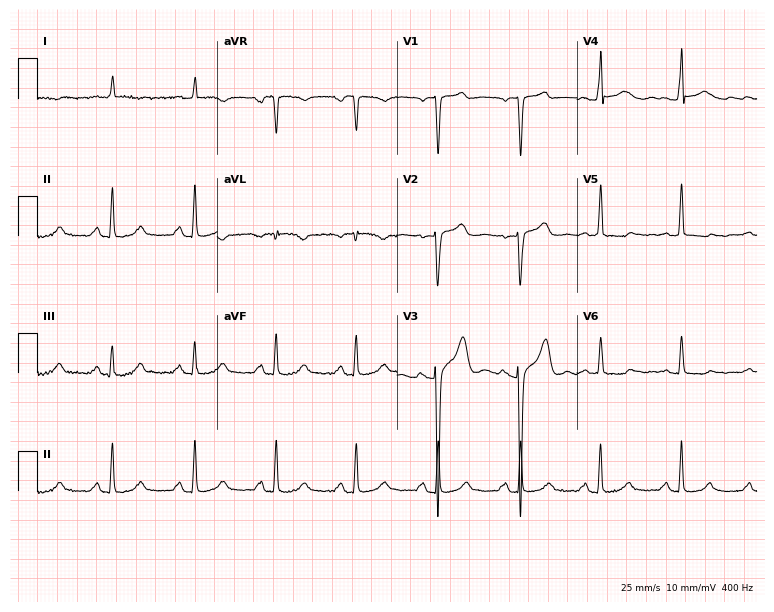
Standard 12-lead ECG recorded from a 61-year-old male. None of these six findings is recorded: first-degree AV block, right bundle branch block, left bundle branch block, sinus bradycardia, atrial fibrillation, sinus tachycardia. Other findings, if any, are not listed.